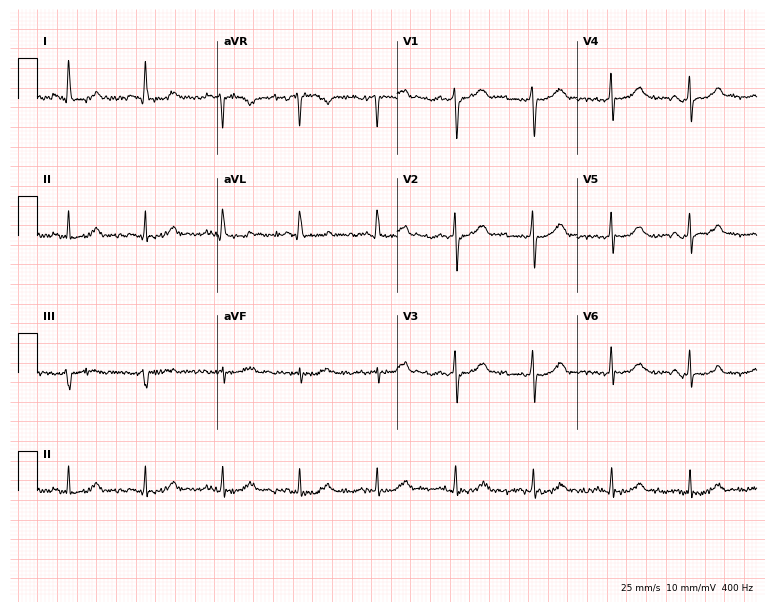
ECG (7.3-second recording at 400 Hz) — a 56-year-old man. Screened for six findings — first-degree AV block, right bundle branch block, left bundle branch block, sinus bradycardia, atrial fibrillation, sinus tachycardia — none is recorded.